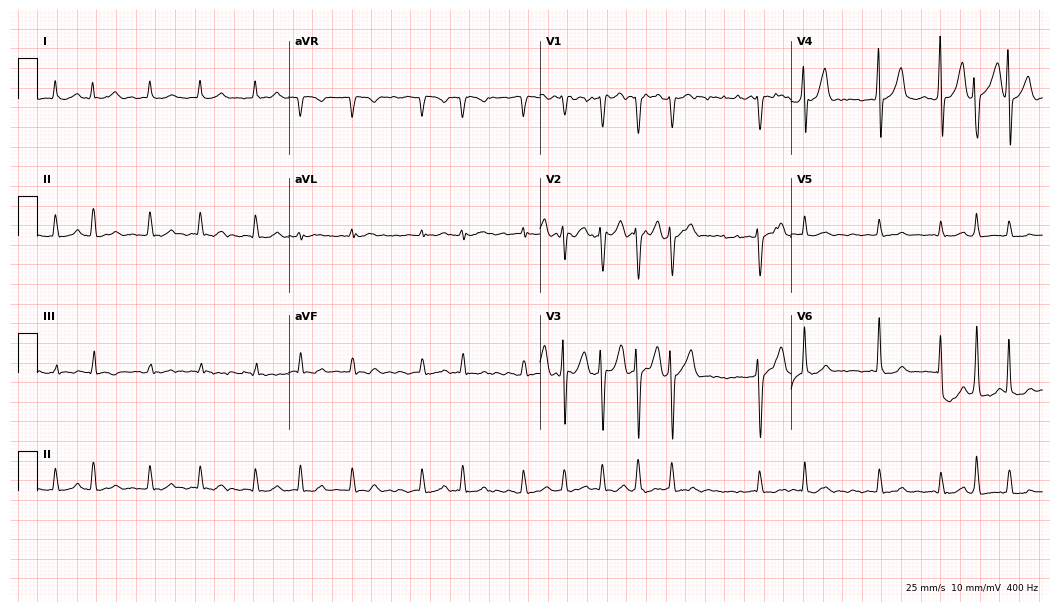
12-lead ECG (10.2-second recording at 400 Hz) from a 62-year-old male. Findings include atrial fibrillation.